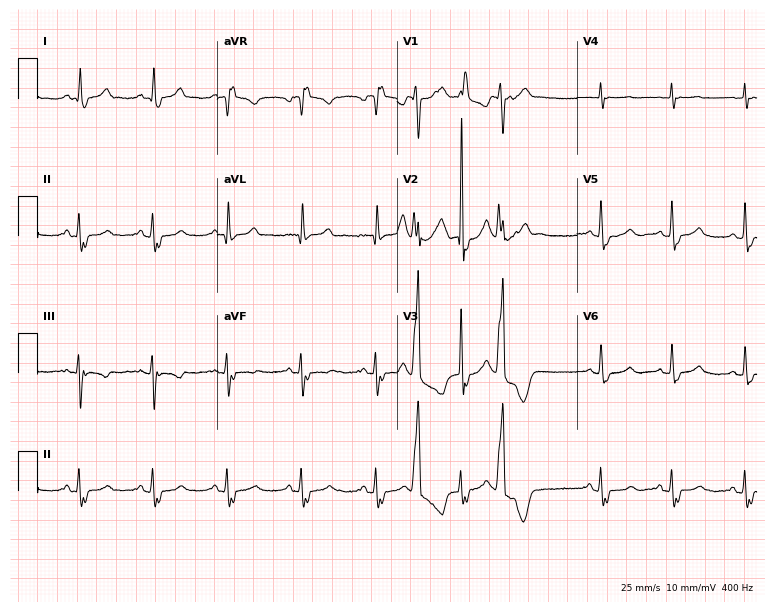
12-lead ECG from a woman, 69 years old. Shows right bundle branch block.